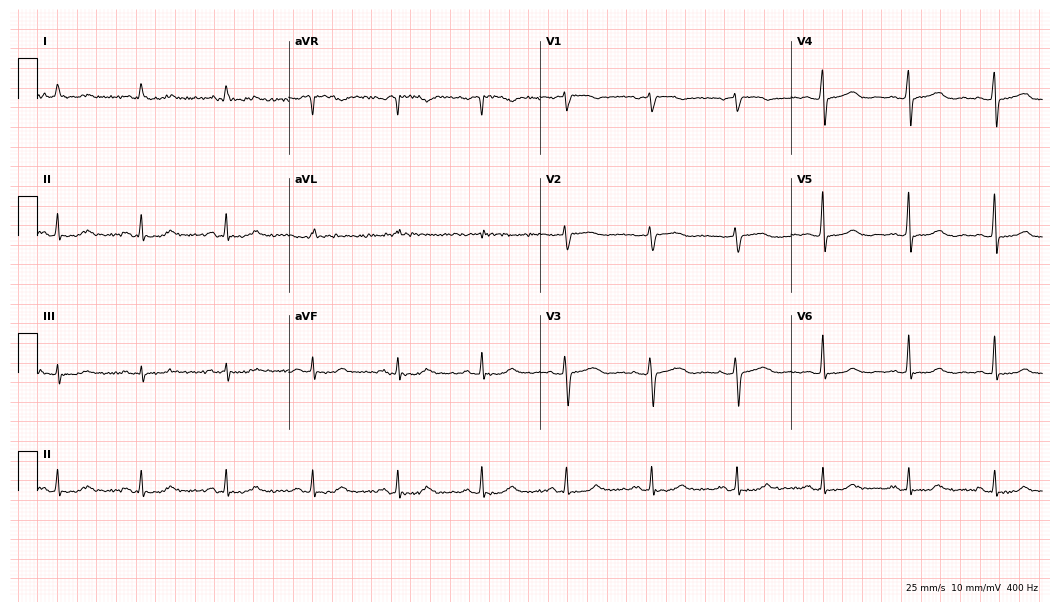
Electrocardiogram (10.2-second recording at 400 Hz), a 65-year-old woman. Overall reading on record: normal ECG.